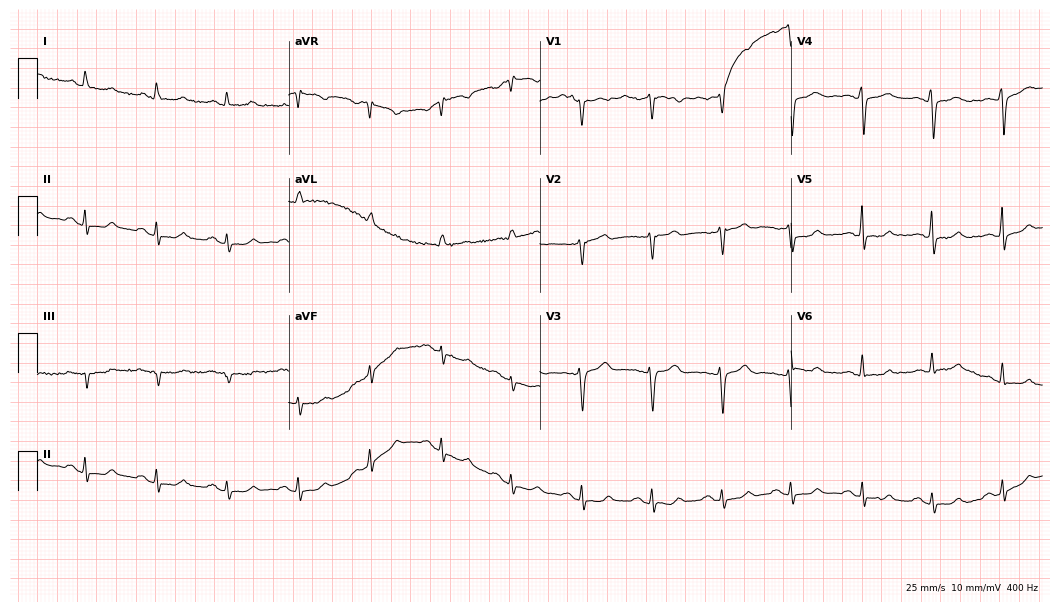
Resting 12-lead electrocardiogram. Patient: a woman, 59 years old. Read as a normal ECG.